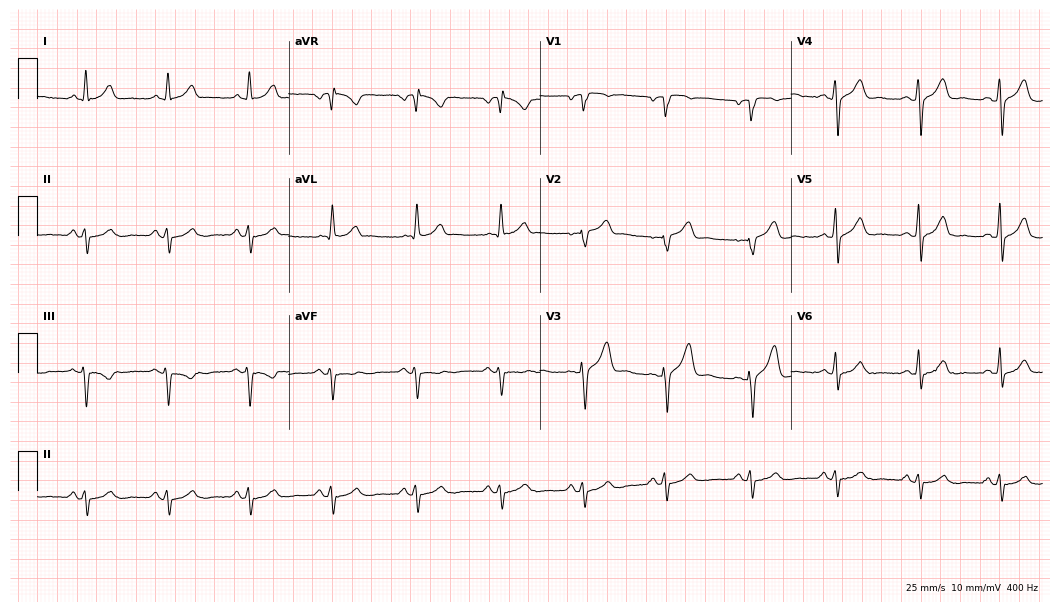
12-lead ECG (10.2-second recording at 400 Hz) from a 51-year-old male patient. Screened for six findings — first-degree AV block, right bundle branch block, left bundle branch block, sinus bradycardia, atrial fibrillation, sinus tachycardia — none is recorded.